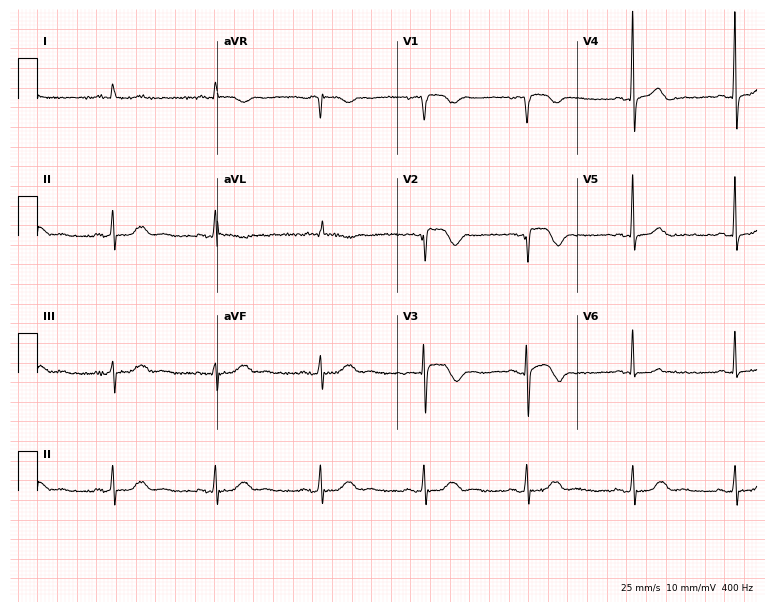
Electrocardiogram, a woman, 69 years old. Of the six screened findings (first-degree AV block, right bundle branch block, left bundle branch block, sinus bradycardia, atrial fibrillation, sinus tachycardia), none is recorded.